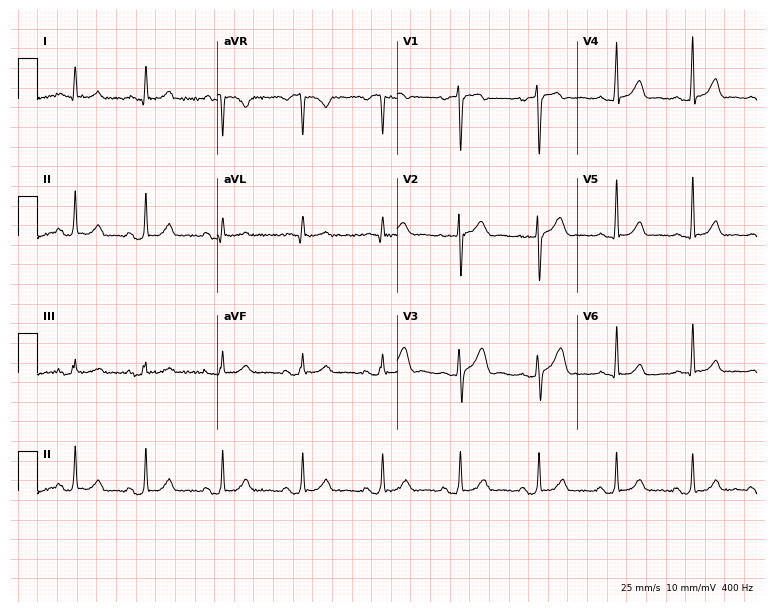
Resting 12-lead electrocardiogram (7.3-second recording at 400 Hz). Patient: a male, 46 years old. Read as a normal ECG.